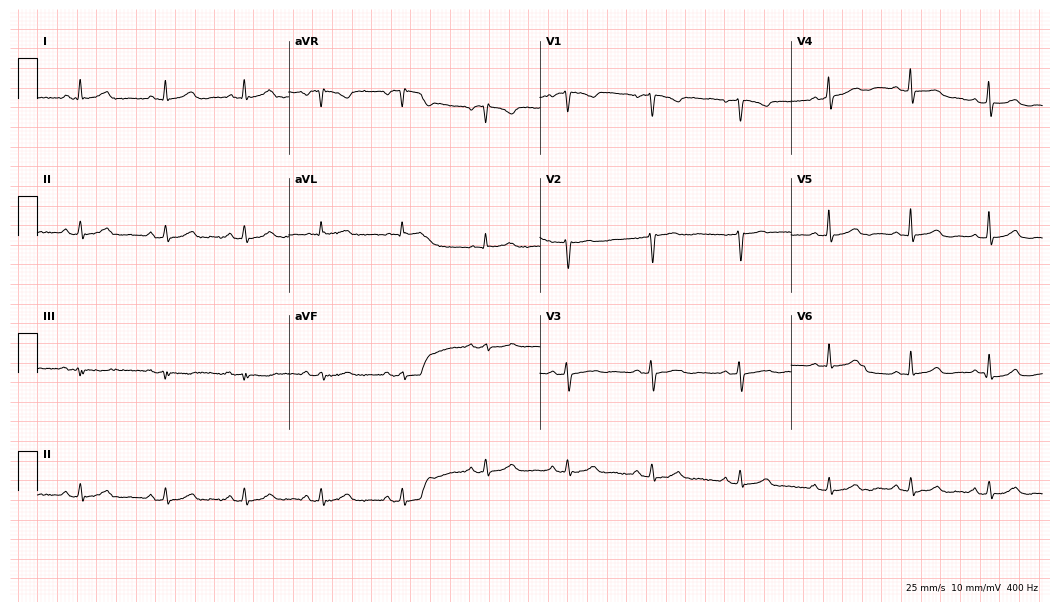
ECG (10.2-second recording at 400 Hz) — a 47-year-old female patient. Screened for six findings — first-degree AV block, right bundle branch block, left bundle branch block, sinus bradycardia, atrial fibrillation, sinus tachycardia — none is recorded.